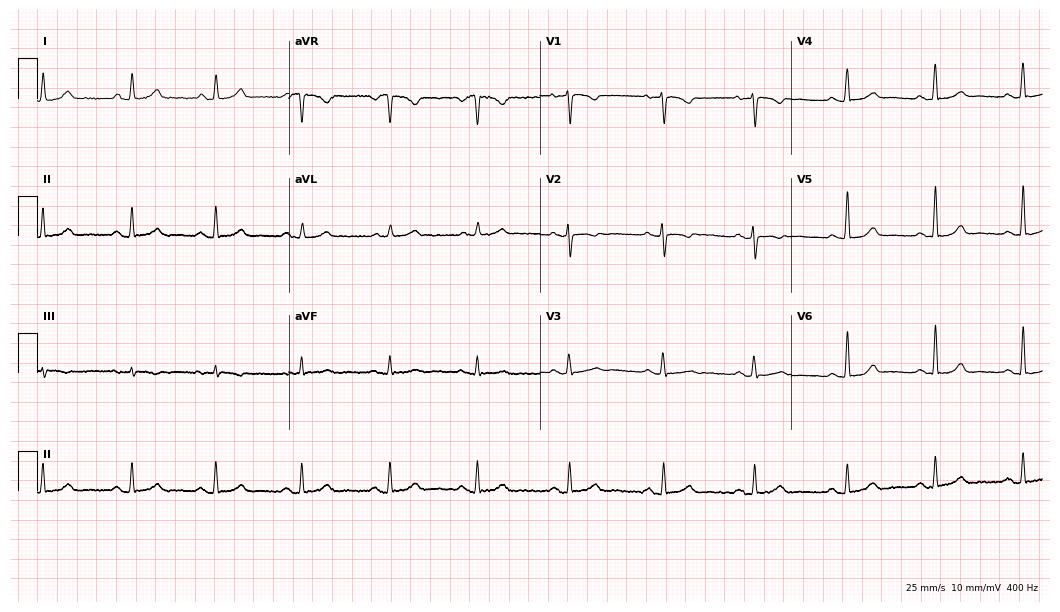
12-lead ECG from a 45-year-old female patient. Labelled as a normal ECG.